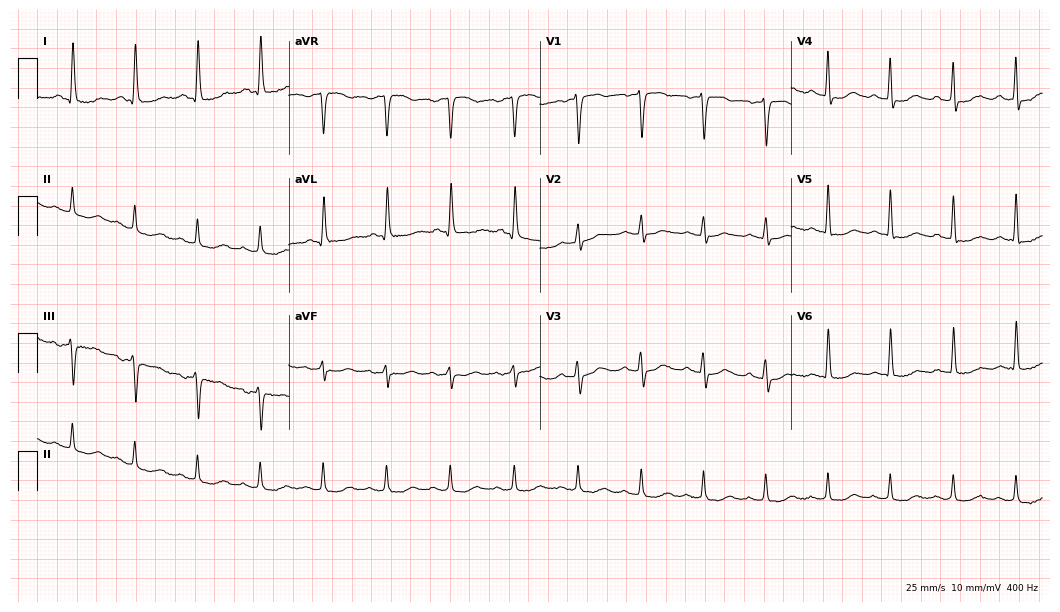
Standard 12-lead ECG recorded from a female, 66 years old. None of these six findings is recorded: first-degree AV block, right bundle branch block, left bundle branch block, sinus bradycardia, atrial fibrillation, sinus tachycardia.